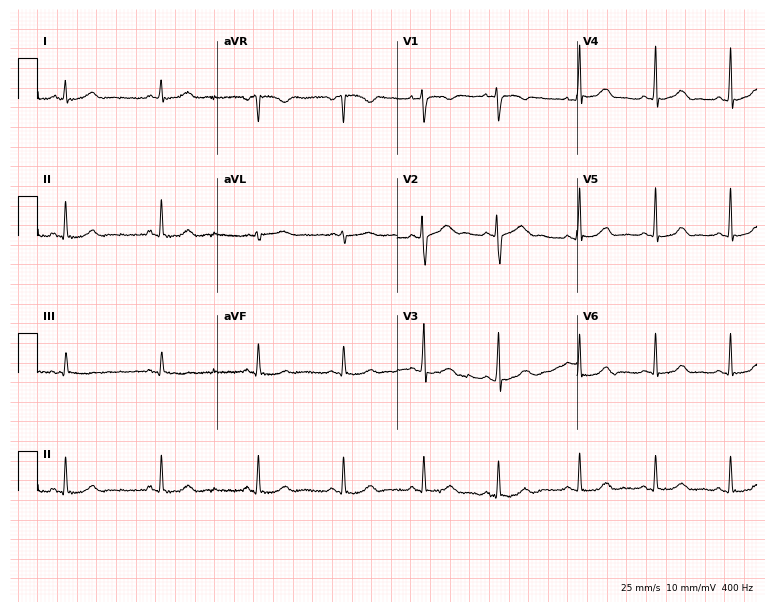
12-lead ECG (7.3-second recording at 400 Hz) from a female, 17 years old. Screened for six findings — first-degree AV block, right bundle branch block, left bundle branch block, sinus bradycardia, atrial fibrillation, sinus tachycardia — none is recorded.